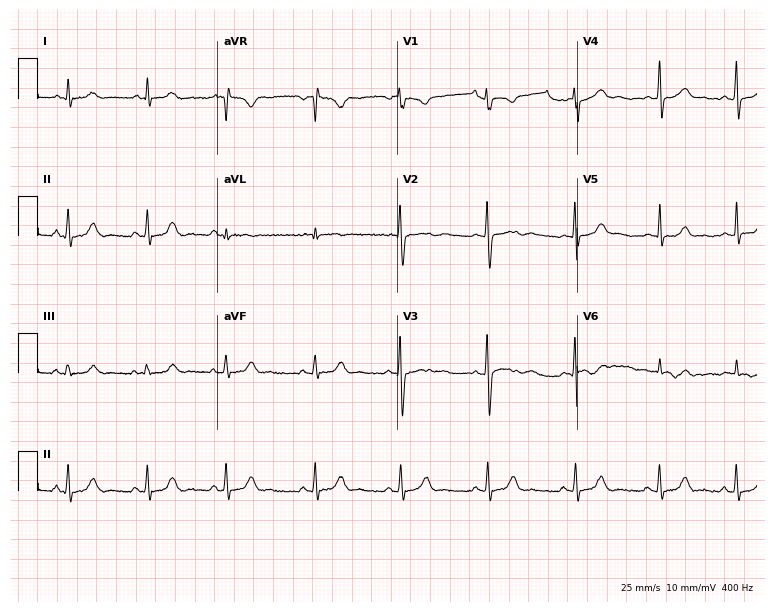
Standard 12-lead ECG recorded from a 19-year-old female (7.3-second recording at 400 Hz). Read as a normal ECG.